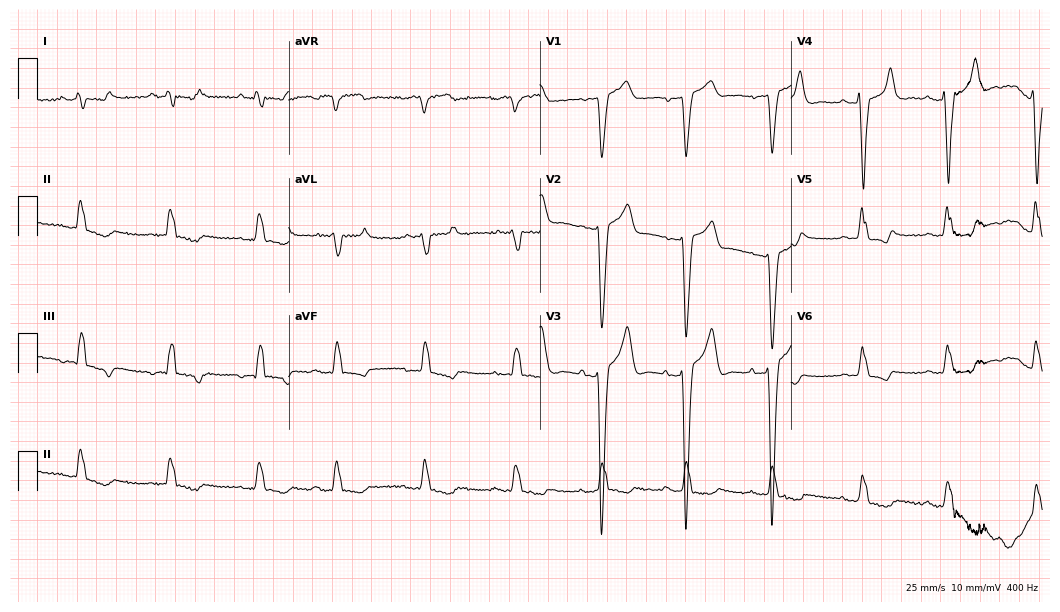
Resting 12-lead electrocardiogram. Patient: a male, 73 years old. None of these six findings is recorded: first-degree AV block, right bundle branch block (RBBB), left bundle branch block (LBBB), sinus bradycardia, atrial fibrillation (AF), sinus tachycardia.